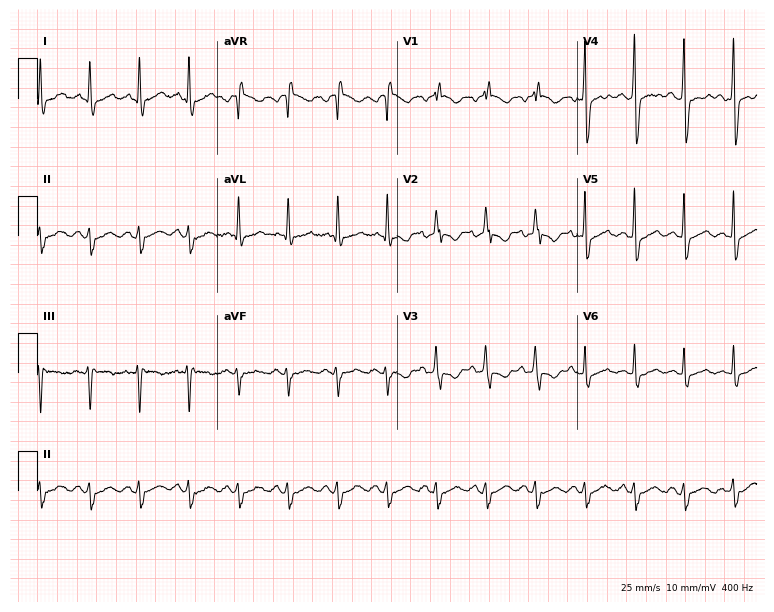
Standard 12-lead ECG recorded from a 63-year-old male. The tracing shows sinus tachycardia (a sinus rate of 100 beats per minute or more).